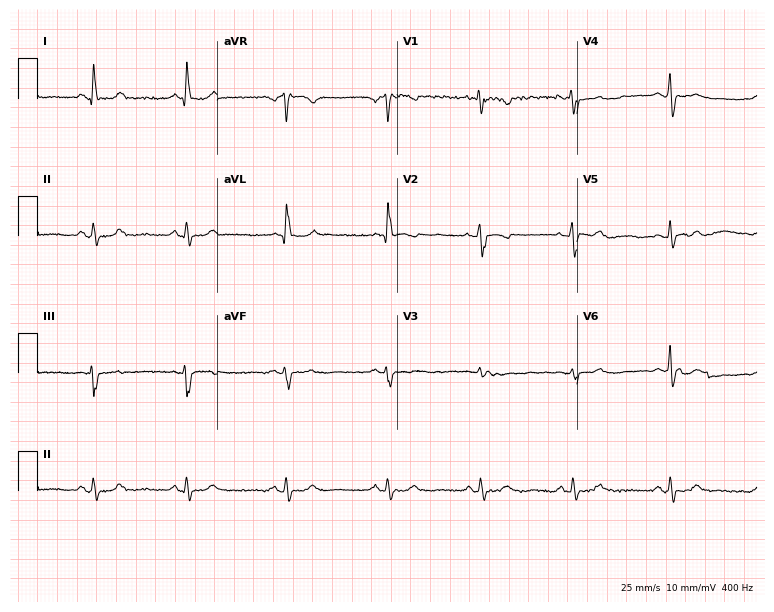
Standard 12-lead ECG recorded from a female patient, 51 years old. Read as a normal ECG.